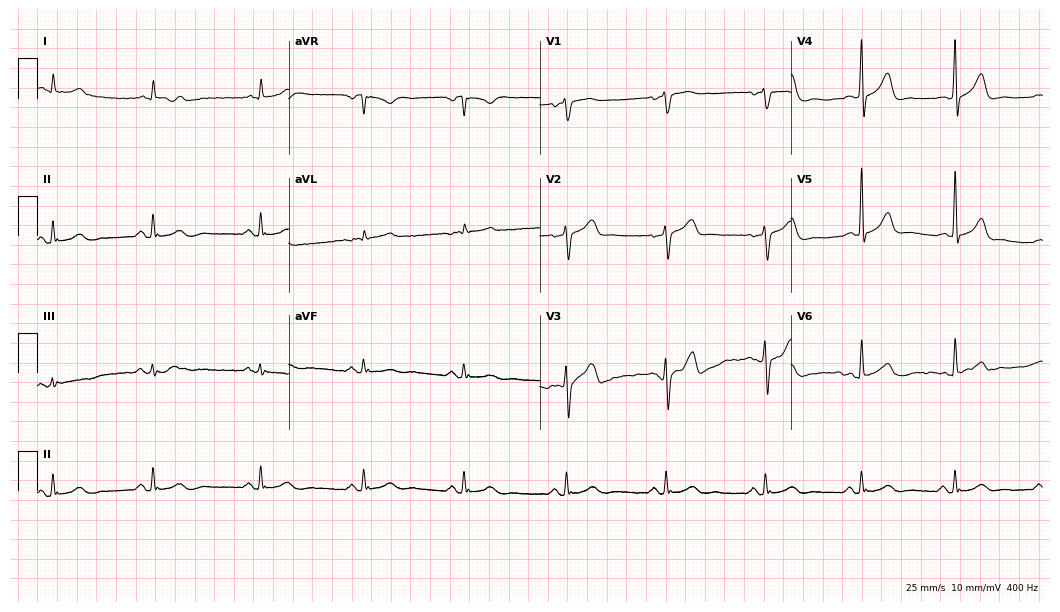
Resting 12-lead electrocardiogram (10.2-second recording at 400 Hz). Patient: a 61-year-old male. Read as a normal ECG.